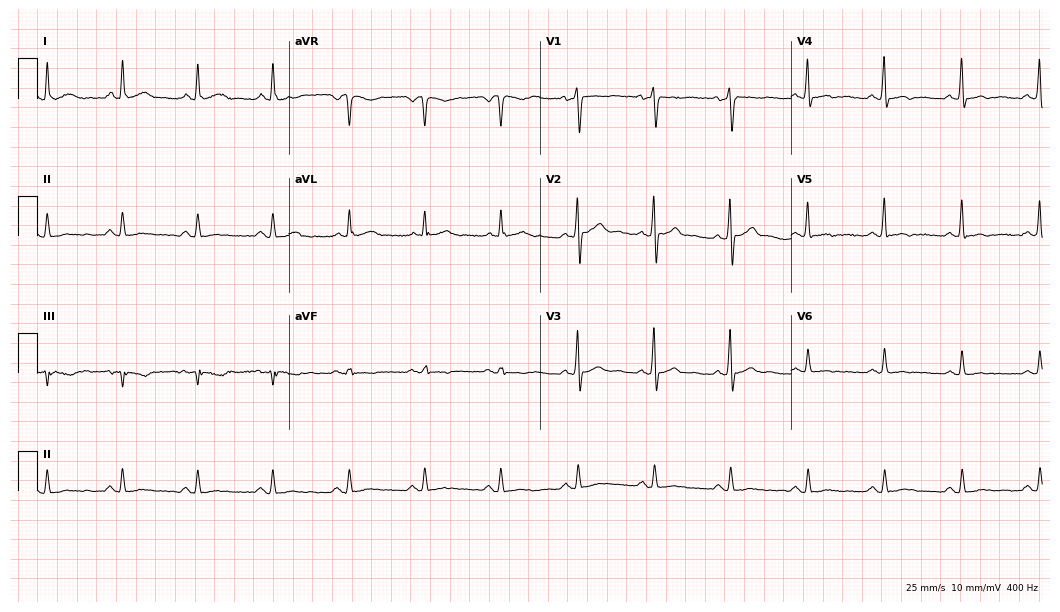
12-lead ECG from a male, 55 years old. Screened for six findings — first-degree AV block, right bundle branch block, left bundle branch block, sinus bradycardia, atrial fibrillation, sinus tachycardia — none is recorded.